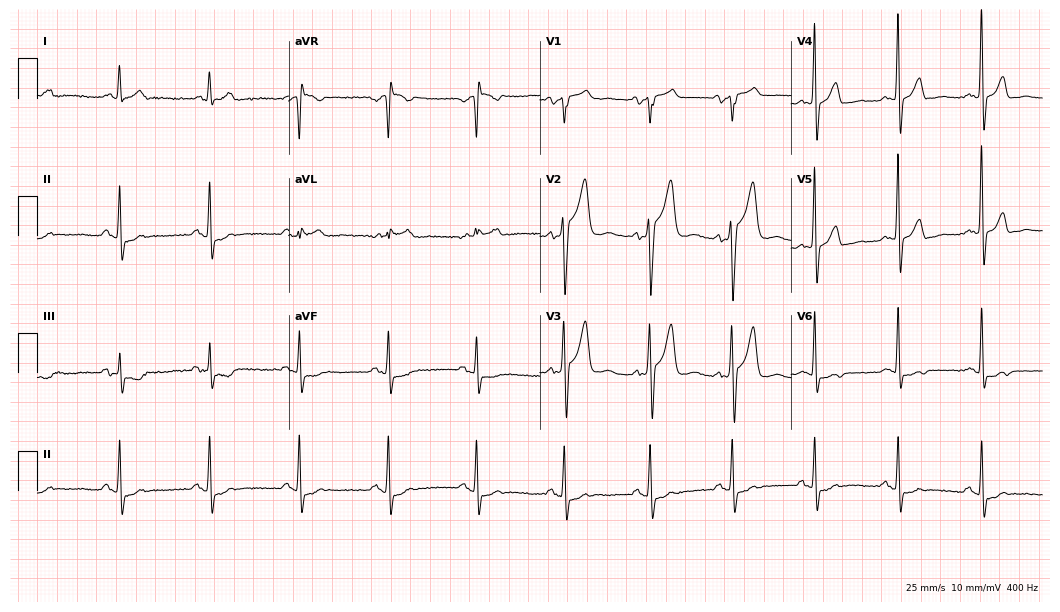
Electrocardiogram (10.2-second recording at 400 Hz), a male, 78 years old. Of the six screened findings (first-degree AV block, right bundle branch block, left bundle branch block, sinus bradycardia, atrial fibrillation, sinus tachycardia), none is recorded. Findings outside these six are not listed.